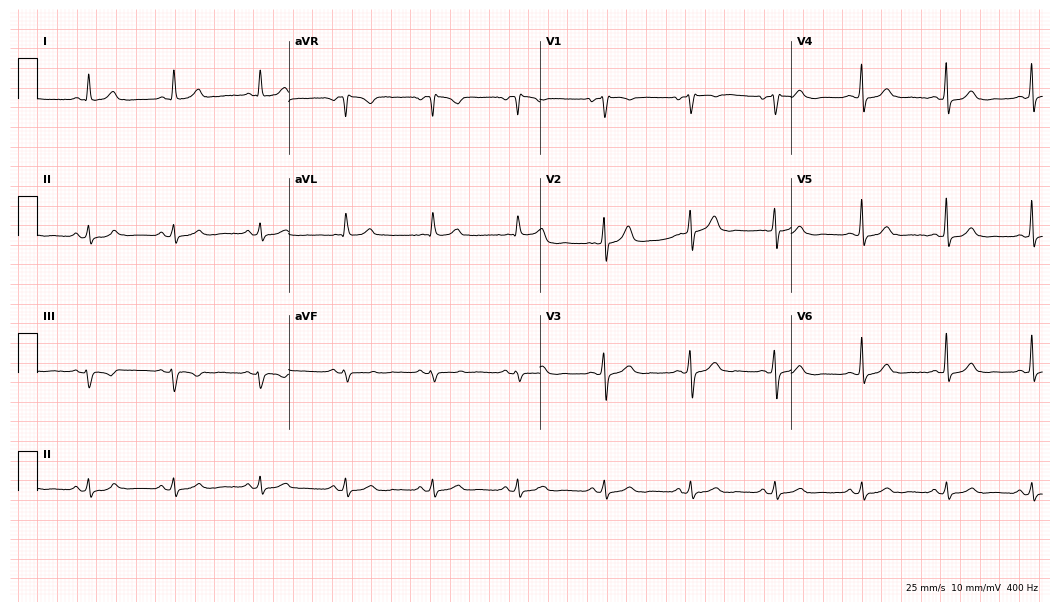
ECG (10.2-second recording at 400 Hz) — a 57-year-old man. Labelled as a normal ECG.